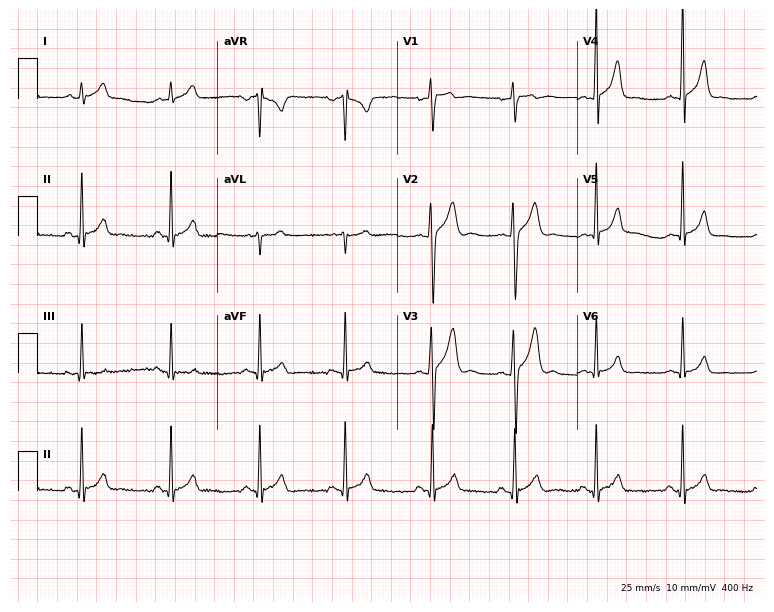
Standard 12-lead ECG recorded from a man, 20 years old (7.3-second recording at 400 Hz). None of these six findings is recorded: first-degree AV block, right bundle branch block (RBBB), left bundle branch block (LBBB), sinus bradycardia, atrial fibrillation (AF), sinus tachycardia.